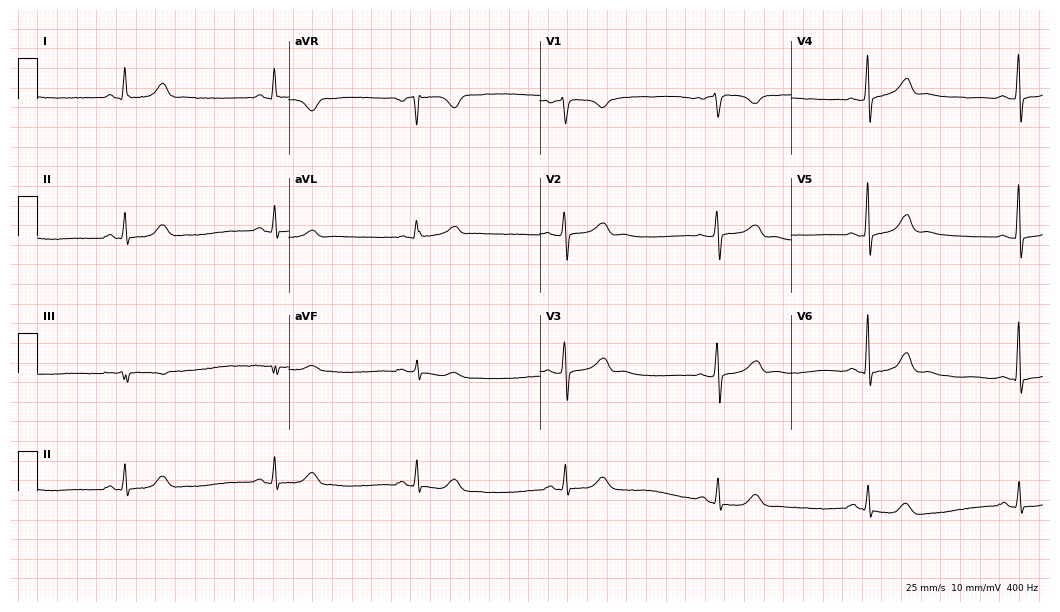
Standard 12-lead ECG recorded from a female, 54 years old (10.2-second recording at 400 Hz). The tracing shows sinus bradycardia (a sinus rate of 50 beats per minute or less).